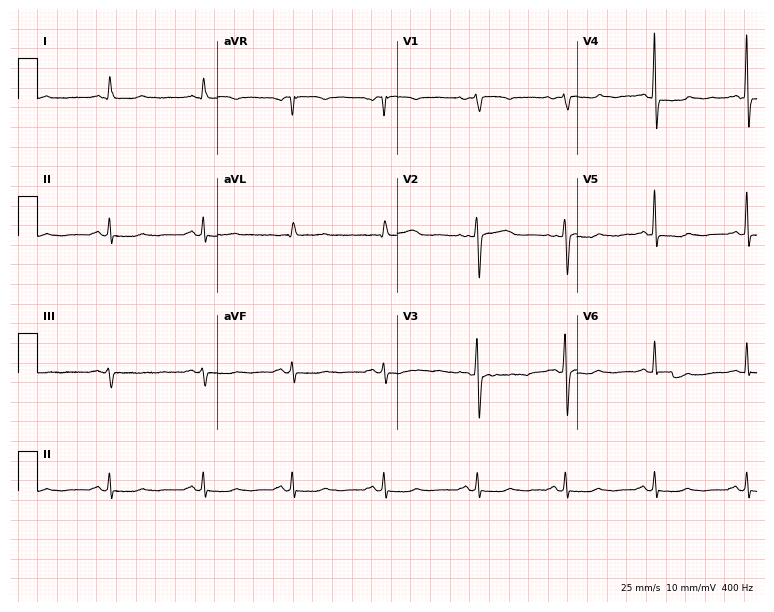
Standard 12-lead ECG recorded from a 67-year-old female patient. None of these six findings is recorded: first-degree AV block, right bundle branch block, left bundle branch block, sinus bradycardia, atrial fibrillation, sinus tachycardia. Other findings, if any, are not listed.